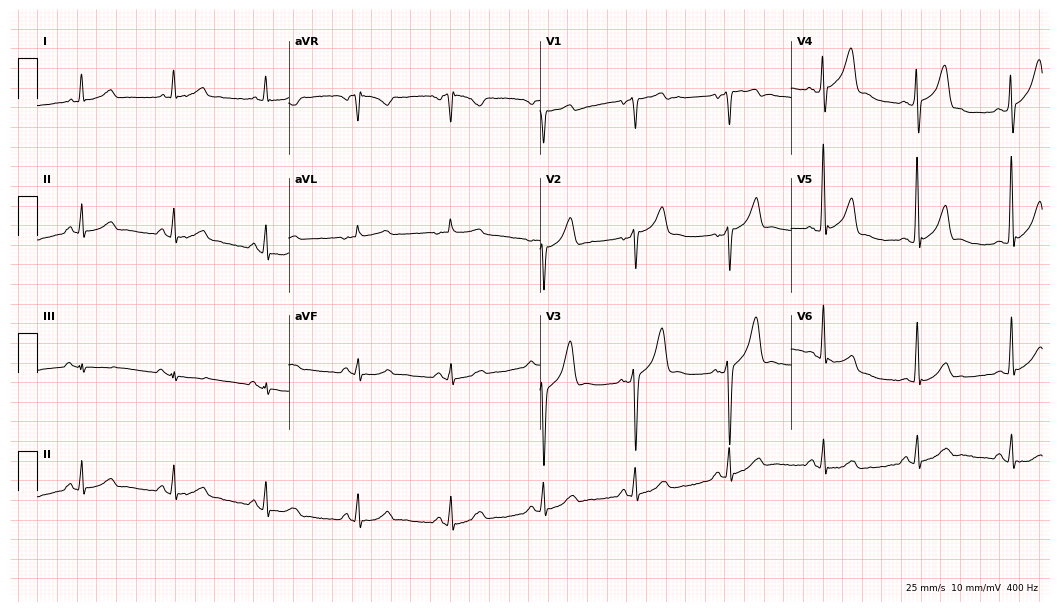
Electrocardiogram (10.2-second recording at 400 Hz), a 51-year-old male patient. Of the six screened findings (first-degree AV block, right bundle branch block (RBBB), left bundle branch block (LBBB), sinus bradycardia, atrial fibrillation (AF), sinus tachycardia), none is recorded.